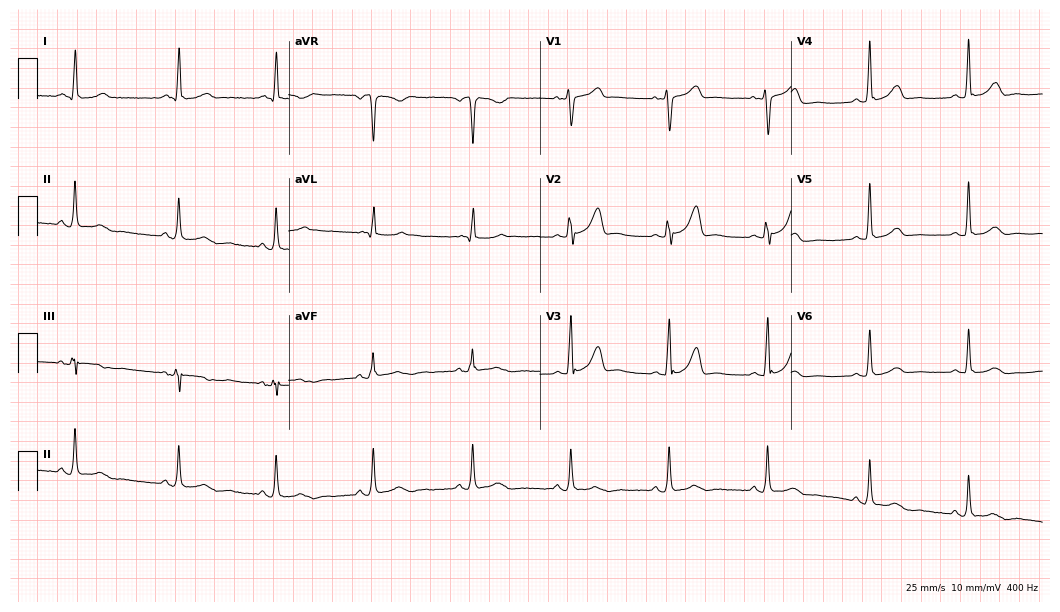
Standard 12-lead ECG recorded from a 59-year-old female patient. Read as a normal ECG.